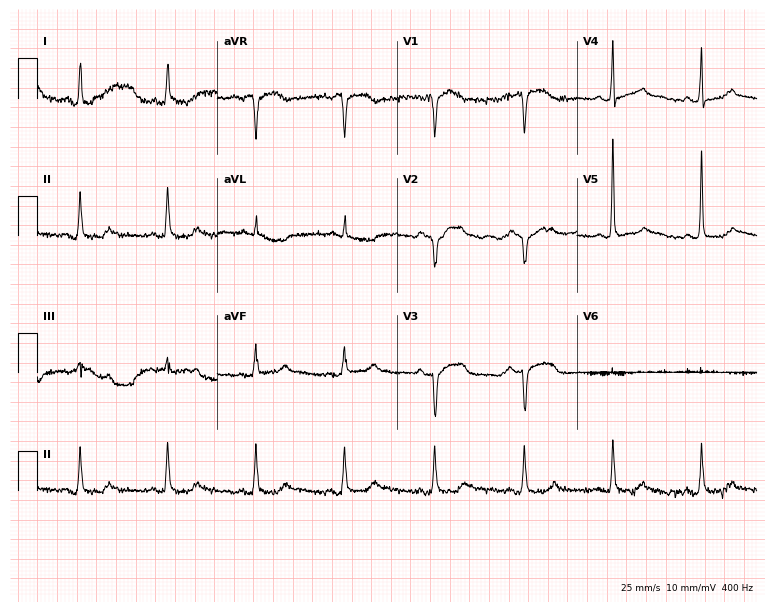
12-lead ECG from a woman, 75 years old. No first-degree AV block, right bundle branch block, left bundle branch block, sinus bradycardia, atrial fibrillation or sinus tachycardia recorded for this tracing.